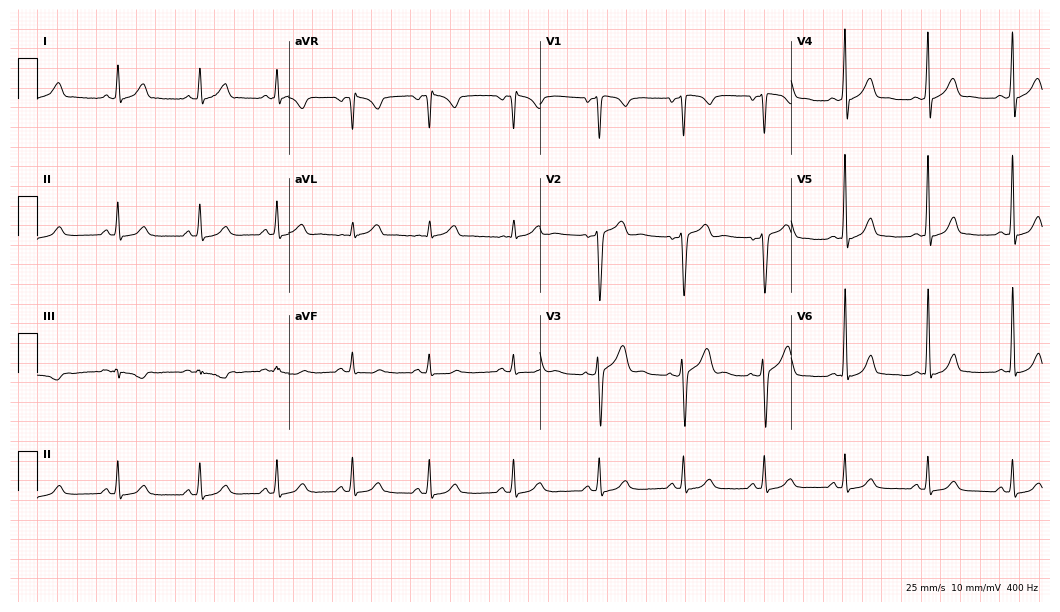
ECG — a man, 37 years old. Screened for six findings — first-degree AV block, right bundle branch block, left bundle branch block, sinus bradycardia, atrial fibrillation, sinus tachycardia — none is recorded. Other findings, if any, are not listed.